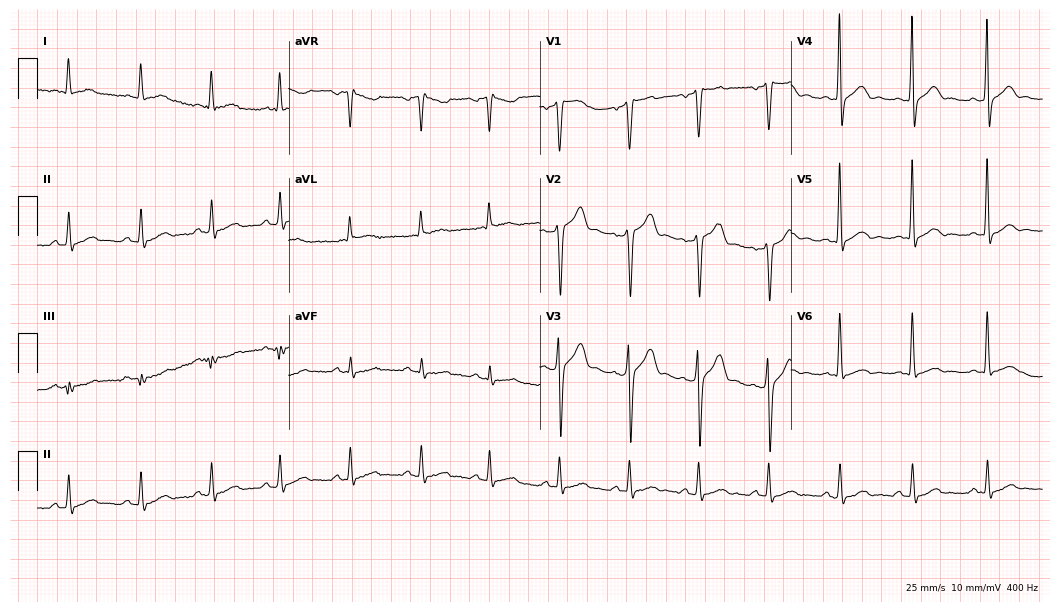
Standard 12-lead ECG recorded from a 49-year-old male (10.2-second recording at 400 Hz). Read as a normal ECG.